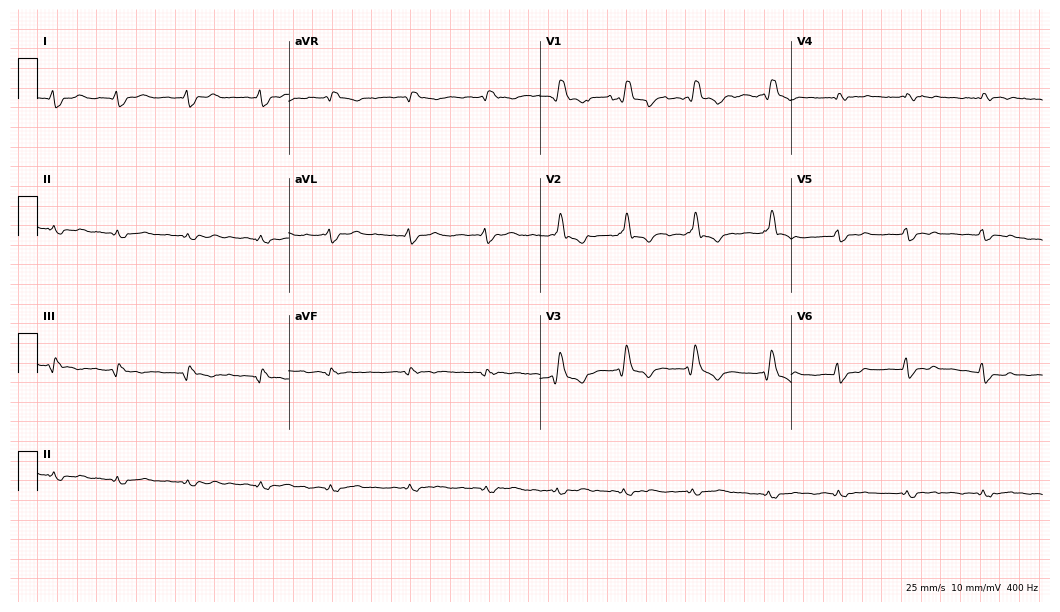
Standard 12-lead ECG recorded from a female, 64 years old (10.2-second recording at 400 Hz). The tracing shows right bundle branch block, atrial fibrillation.